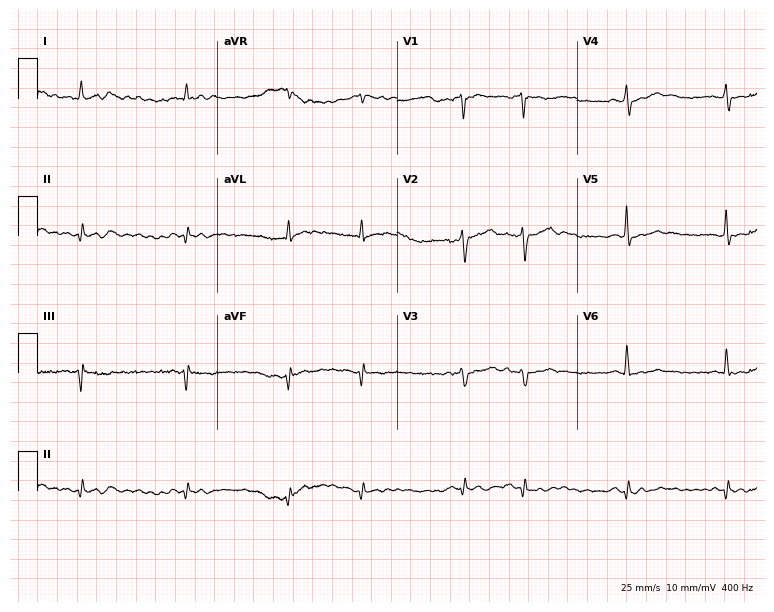
ECG (7.3-second recording at 400 Hz) — a 58-year-old woman. Screened for six findings — first-degree AV block, right bundle branch block, left bundle branch block, sinus bradycardia, atrial fibrillation, sinus tachycardia — none is recorded.